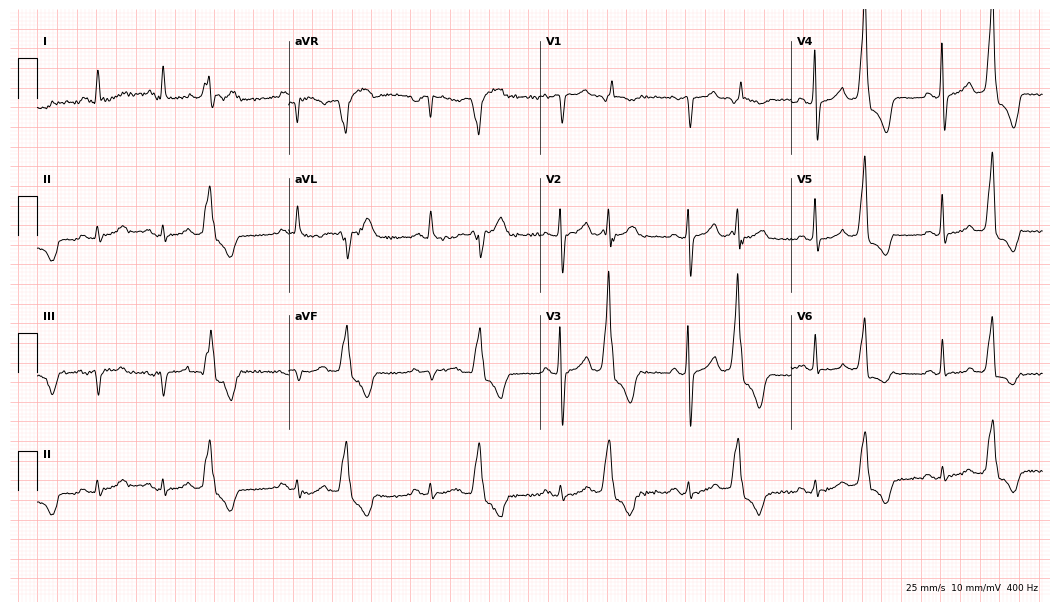
Resting 12-lead electrocardiogram. Patient: a man, 73 years old. Read as a normal ECG.